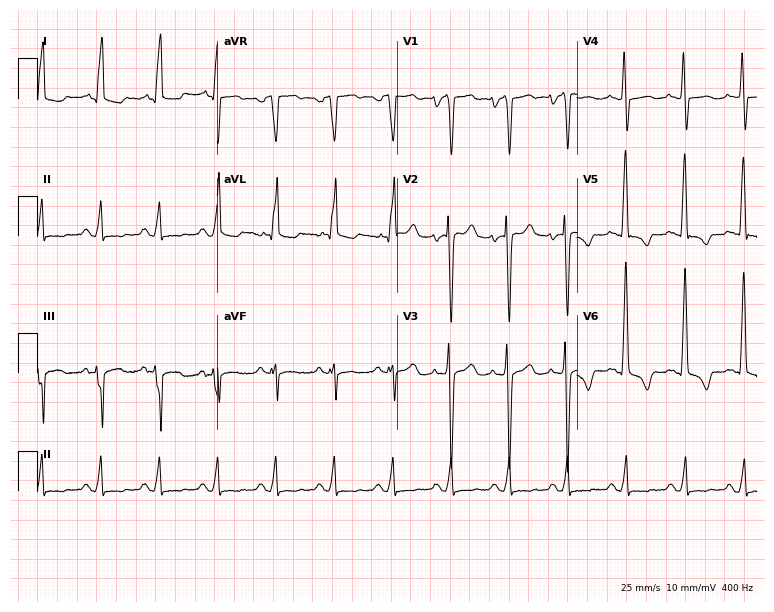
12-lead ECG from a woman, 37 years old. Screened for six findings — first-degree AV block, right bundle branch block, left bundle branch block, sinus bradycardia, atrial fibrillation, sinus tachycardia — none is recorded.